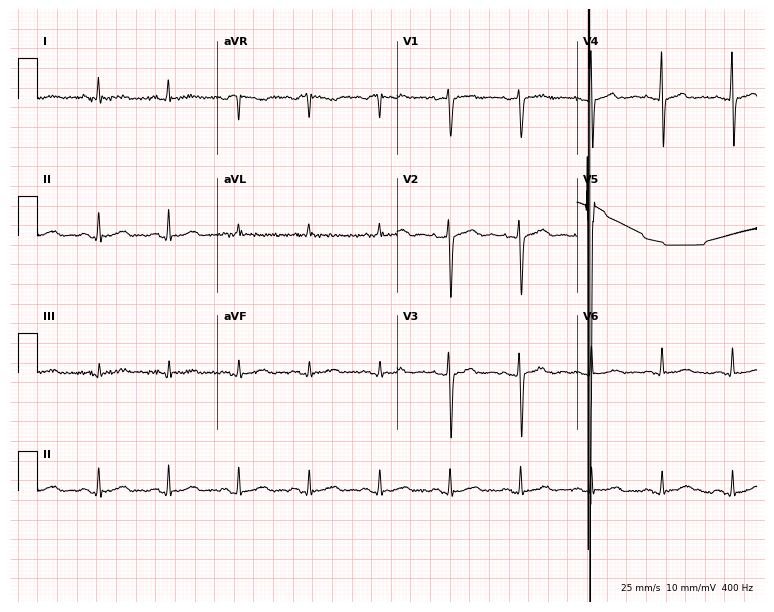
Electrocardiogram (7.3-second recording at 400 Hz), a female patient, 59 years old. Of the six screened findings (first-degree AV block, right bundle branch block (RBBB), left bundle branch block (LBBB), sinus bradycardia, atrial fibrillation (AF), sinus tachycardia), none is recorded.